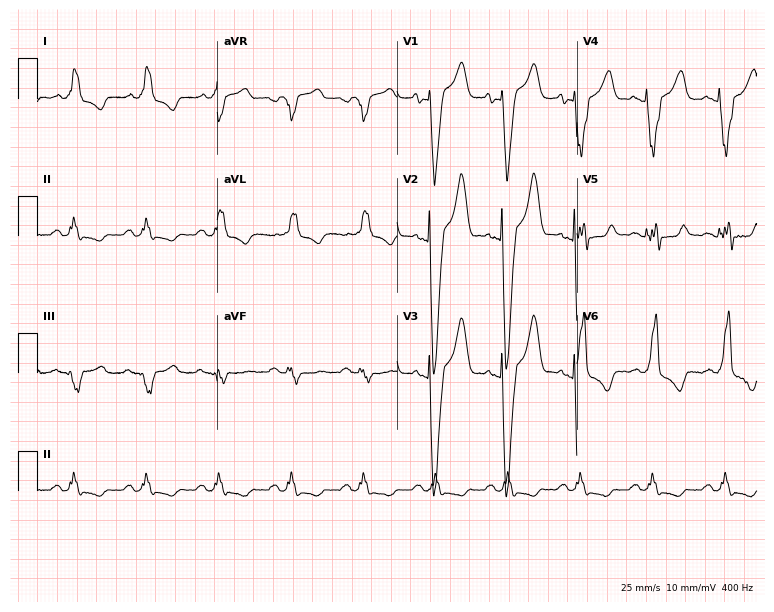
12-lead ECG from a 61-year-old male patient (7.3-second recording at 400 Hz). Shows left bundle branch block (LBBB).